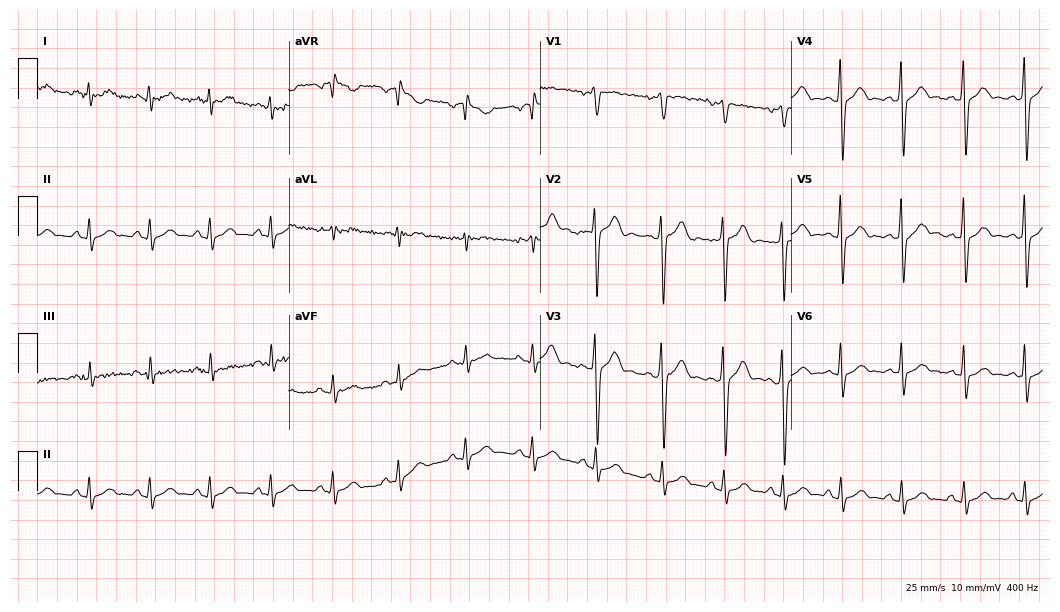
12-lead ECG (10.2-second recording at 400 Hz) from a 25-year-old male. Labelled as a normal ECG.